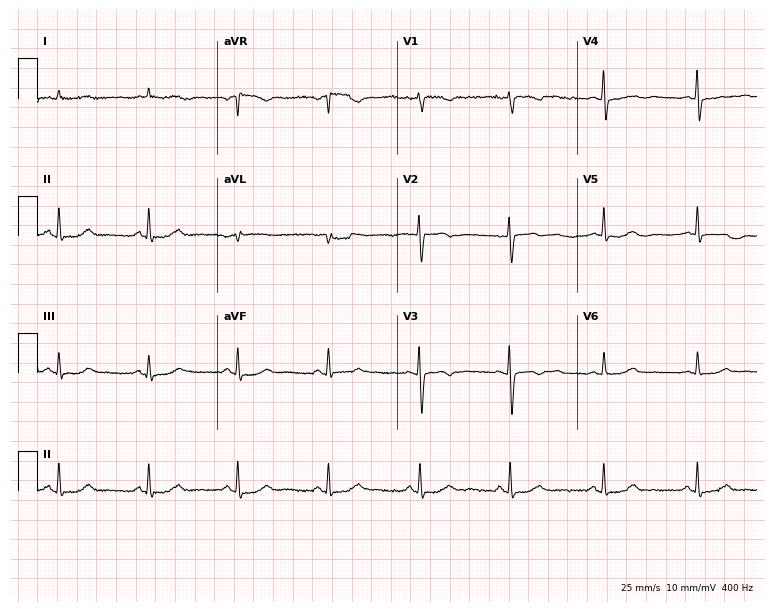
12-lead ECG from a female, 55 years old. Screened for six findings — first-degree AV block, right bundle branch block, left bundle branch block, sinus bradycardia, atrial fibrillation, sinus tachycardia — none is recorded. Findings outside these six are not listed.